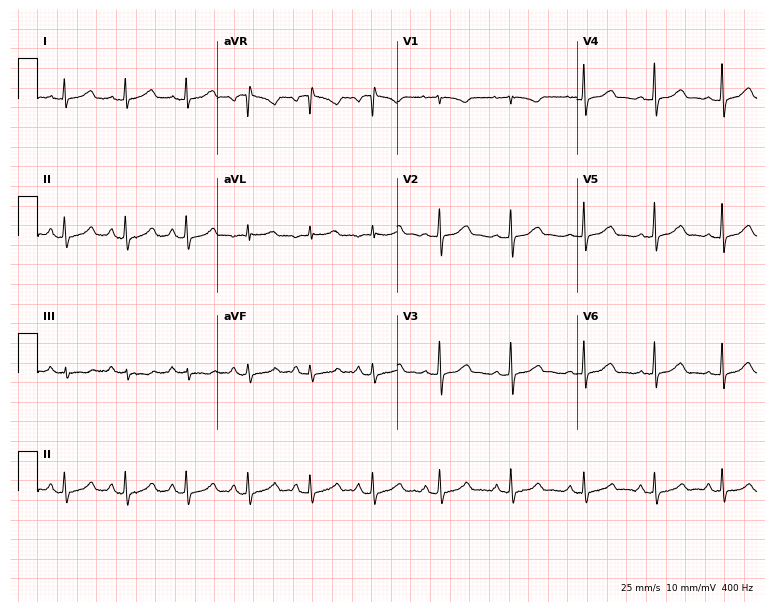
Electrocardiogram (7.3-second recording at 400 Hz), a female patient, 40 years old. Of the six screened findings (first-degree AV block, right bundle branch block (RBBB), left bundle branch block (LBBB), sinus bradycardia, atrial fibrillation (AF), sinus tachycardia), none is recorded. Findings outside these six are not listed.